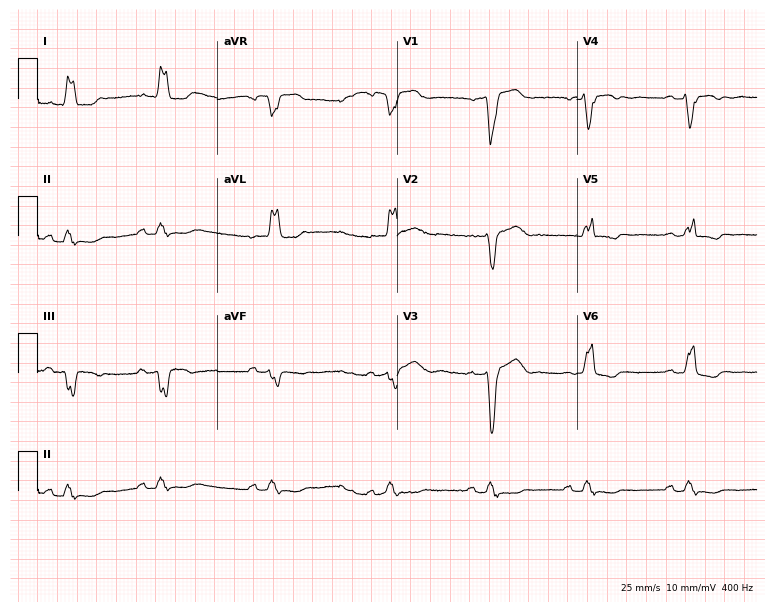
Resting 12-lead electrocardiogram (7.3-second recording at 400 Hz). Patient: a 59-year-old female. The tracing shows left bundle branch block.